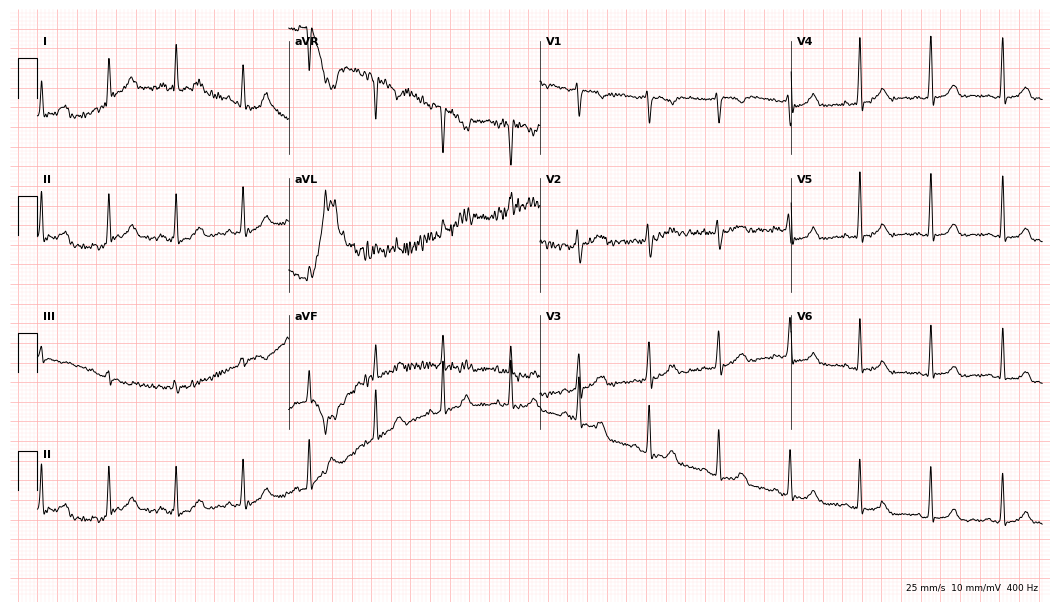
Electrocardiogram, a female patient, 35 years old. Overall reading on record: normal ECG.